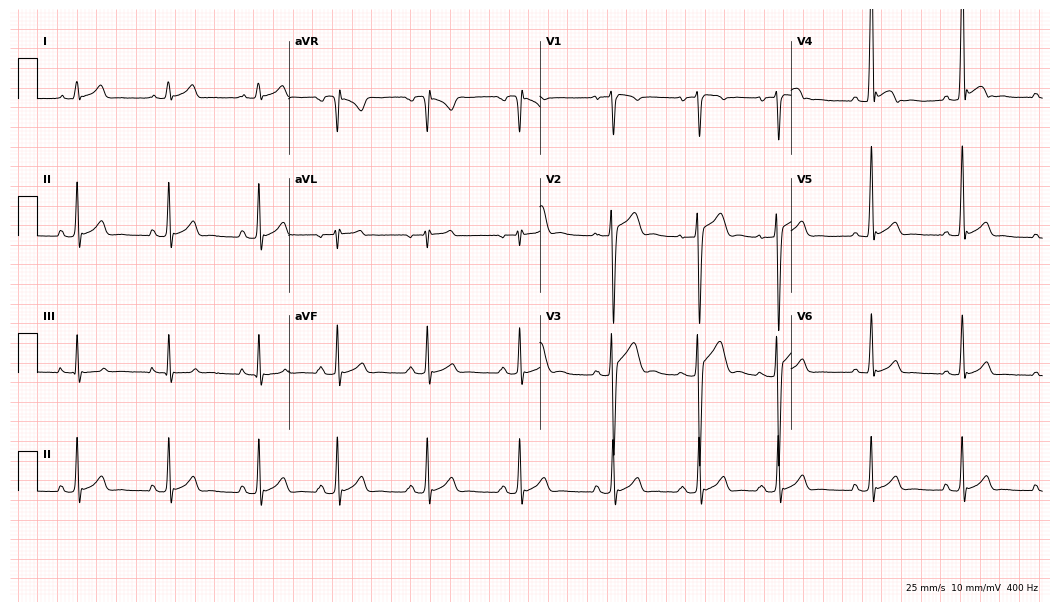
Electrocardiogram (10.2-second recording at 400 Hz), a male, 18 years old. Of the six screened findings (first-degree AV block, right bundle branch block, left bundle branch block, sinus bradycardia, atrial fibrillation, sinus tachycardia), none is recorded.